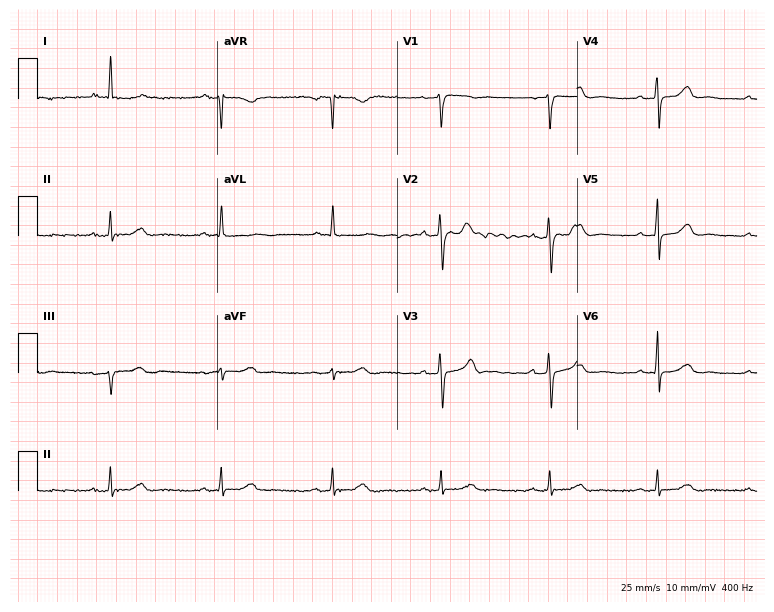
Electrocardiogram, a 61-year-old woman. Of the six screened findings (first-degree AV block, right bundle branch block (RBBB), left bundle branch block (LBBB), sinus bradycardia, atrial fibrillation (AF), sinus tachycardia), none is recorded. Findings outside these six are not listed.